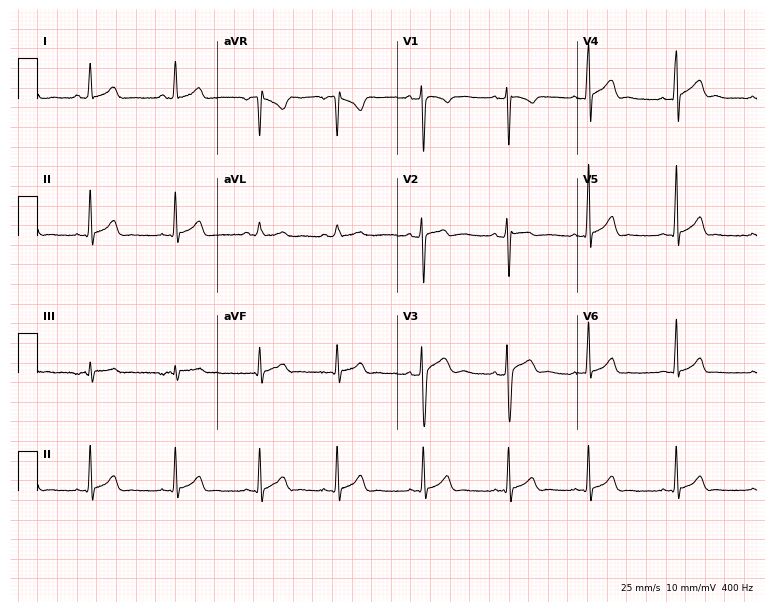
Resting 12-lead electrocardiogram. Patient: a male, 19 years old. Read as a normal ECG.